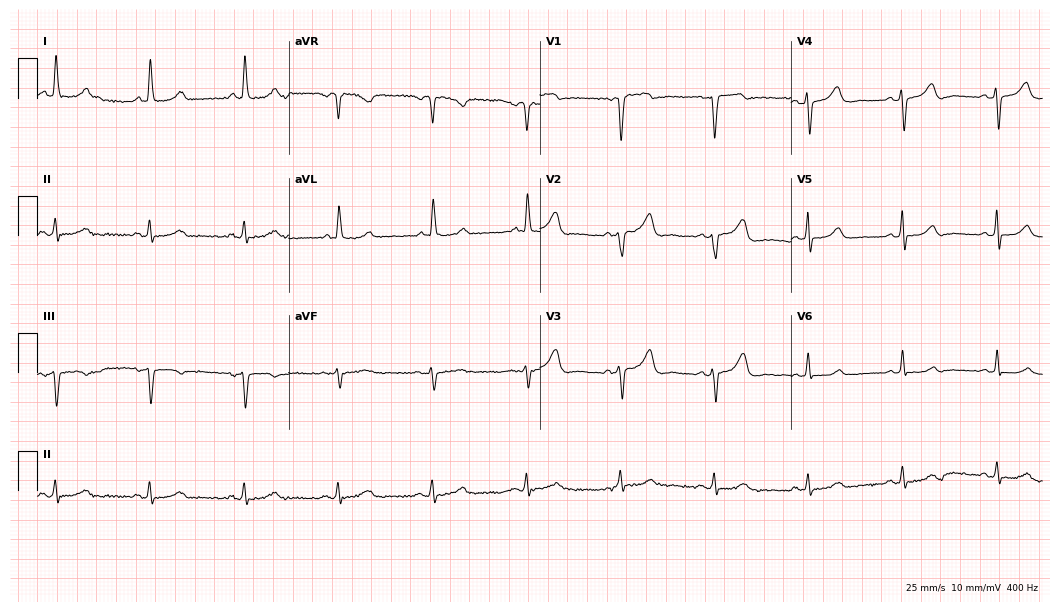
Resting 12-lead electrocardiogram (10.2-second recording at 400 Hz). Patient: a 66-year-old woman. None of these six findings is recorded: first-degree AV block, right bundle branch block, left bundle branch block, sinus bradycardia, atrial fibrillation, sinus tachycardia.